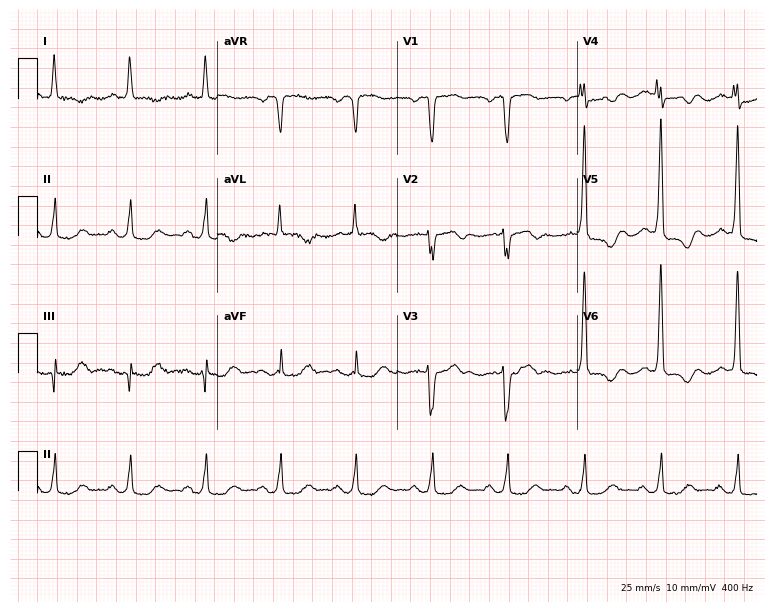
Resting 12-lead electrocardiogram. Patient: a female, 75 years old. None of these six findings is recorded: first-degree AV block, right bundle branch block, left bundle branch block, sinus bradycardia, atrial fibrillation, sinus tachycardia.